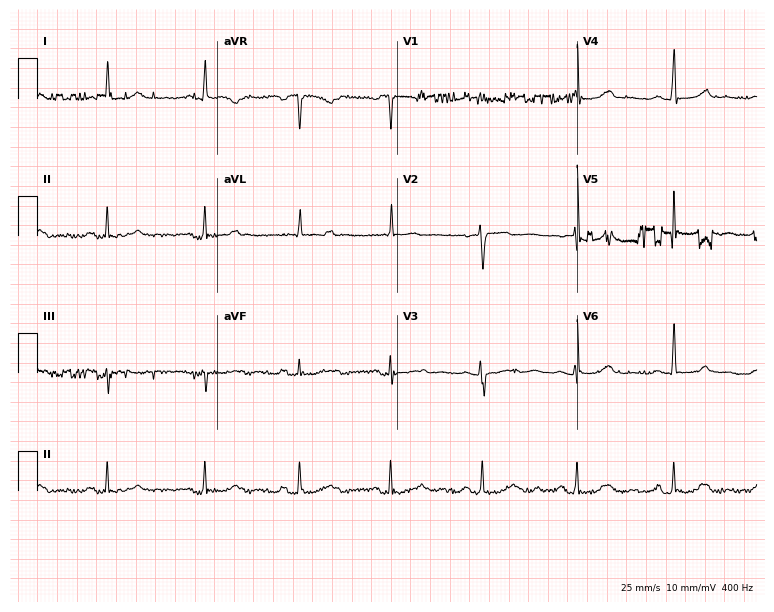
Electrocardiogram, a woman, 50 years old. Overall reading on record: normal ECG.